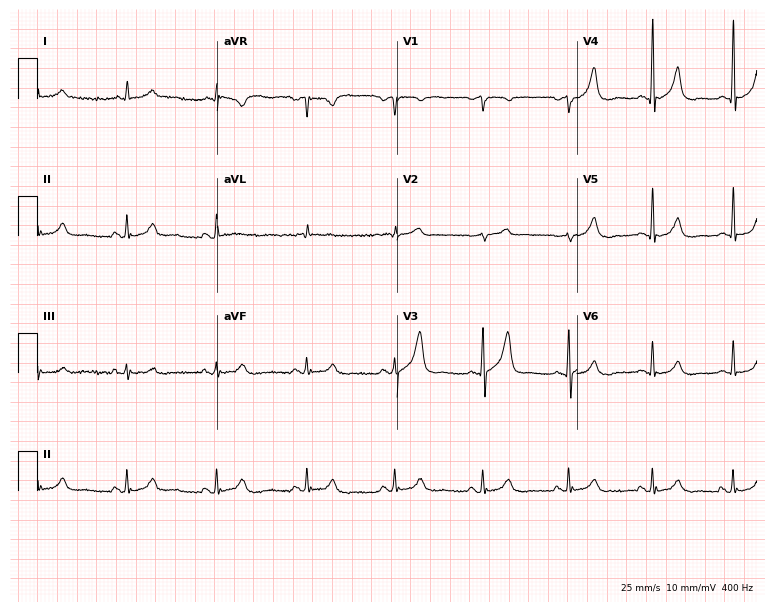
Standard 12-lead ECG recorded from a man, 66 years old (7.3-second recording at 400 Hz). None of these six findings is recorded: first-degree AV block, right bundle branch block, left bundle branch block, sinus bradycardia, atrial fibrillation, sinus tachycardia. Only these six findings were labelled.